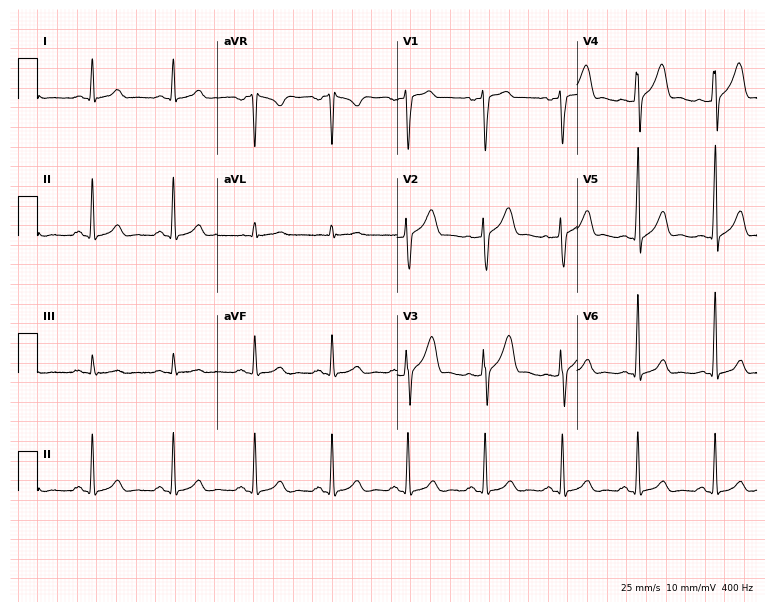
ECG (7.3-second recording at 400 Hz) — a man, 40 years old. Labelled as a normal ECG.